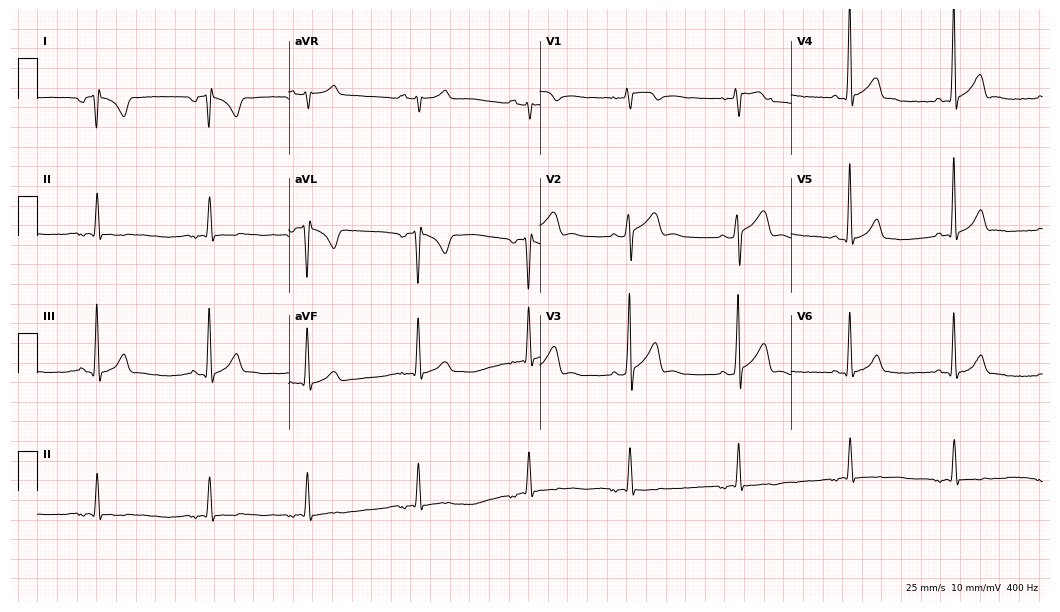
Standard 12-lead ECG recorded from a male patient, 24 years old (10.2-second recording at 400 Hz). None of these six findings is recorded: first-degree AV block, right bundle branch block (RBBB), left bundle branch block (LBBB), sinus bradycardia, atrial fibrillation (AF), sinus tachycardia. Only these six findings were labelled.